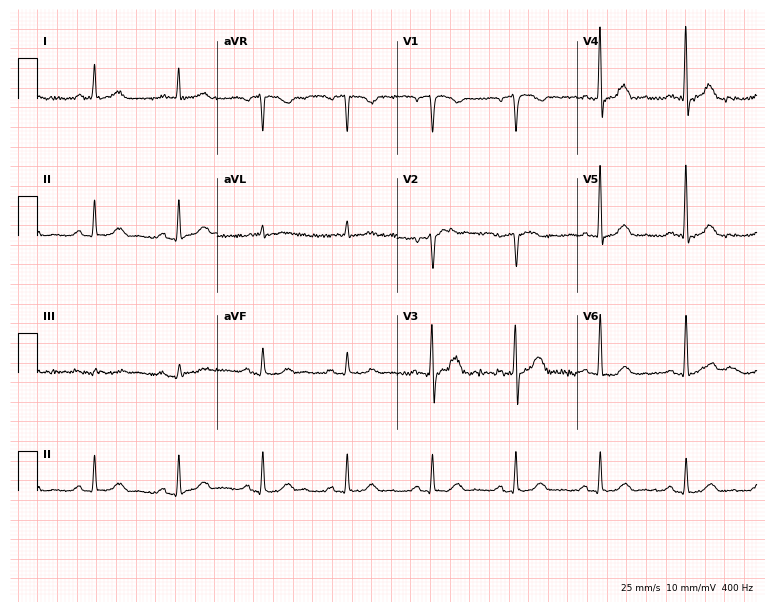
12-lead ECG from a male, 70 years old. Labelled as a normal ECG.